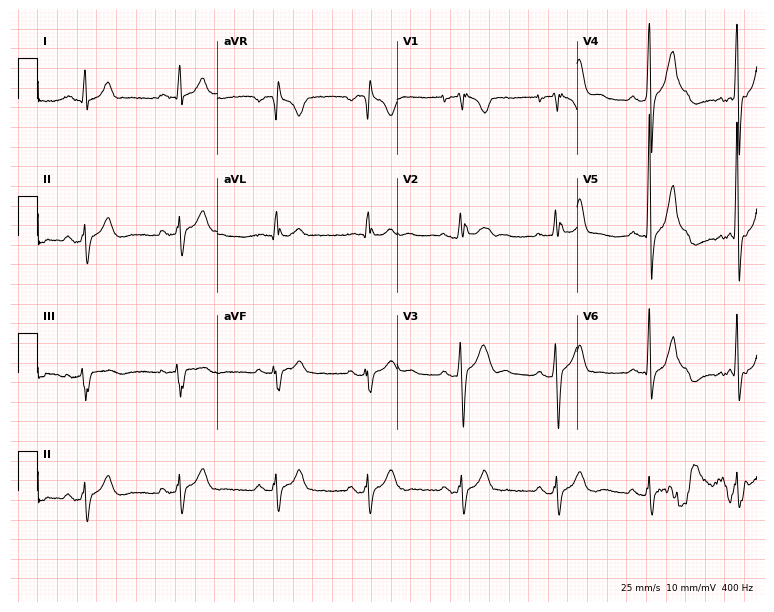
Resting 12-lead electrocardiogram. Patient: a 28-year-old man. None of these six findings is recorded: first-degree AV block, right bundle branch block, left bundle branch block, sinus bradycardia, atrial fibrillation, sinus tachycardia.